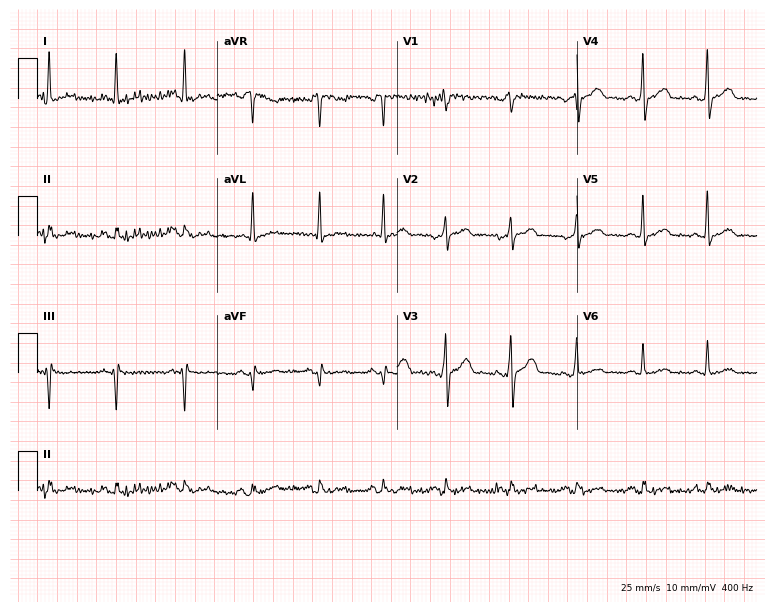
Standard 12-lead ECG recorded from a 38-year-old male (7.3-second recording at 400 Hz). Read as a normal ECG.